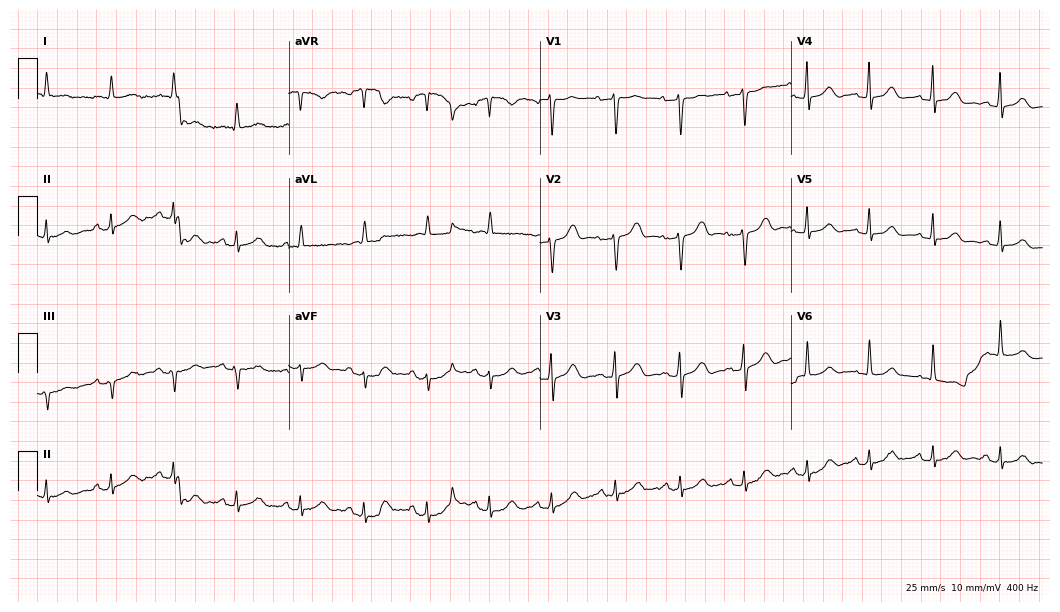
Electrocardiogram, an 81-year-old female patient. Of the six screened findings (first-degree AV block, right bundle branch block (RBBB), left bundle branch block (LBBB), sinus bradycardia, atrial fibrillation (AF), sinus tachycardia), none is recorded.